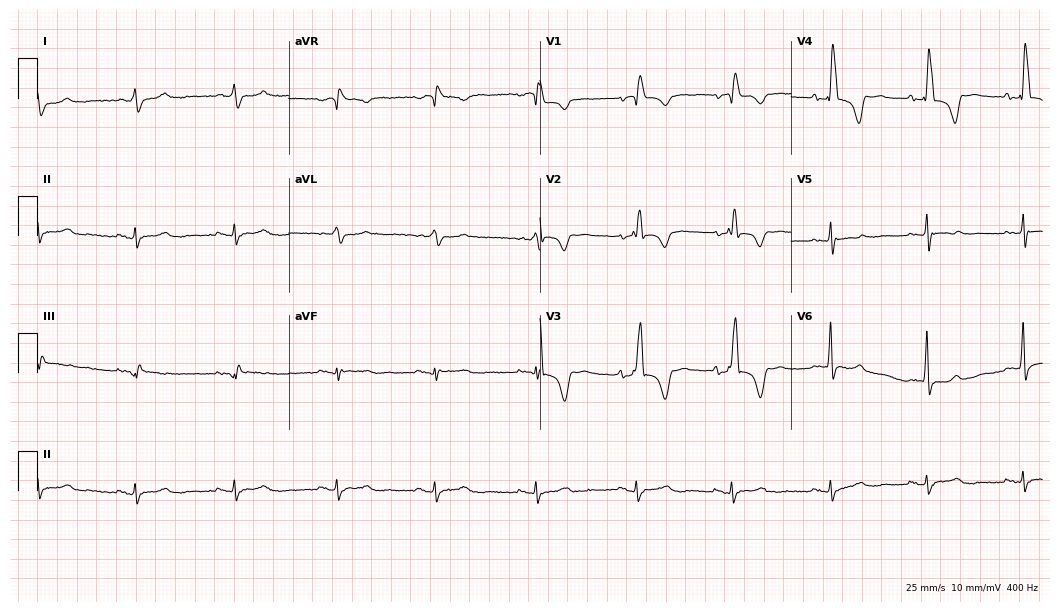
Electrocardiogram, a 72-year-old woman. Interpretation includes right bundle branch block (RBBB).